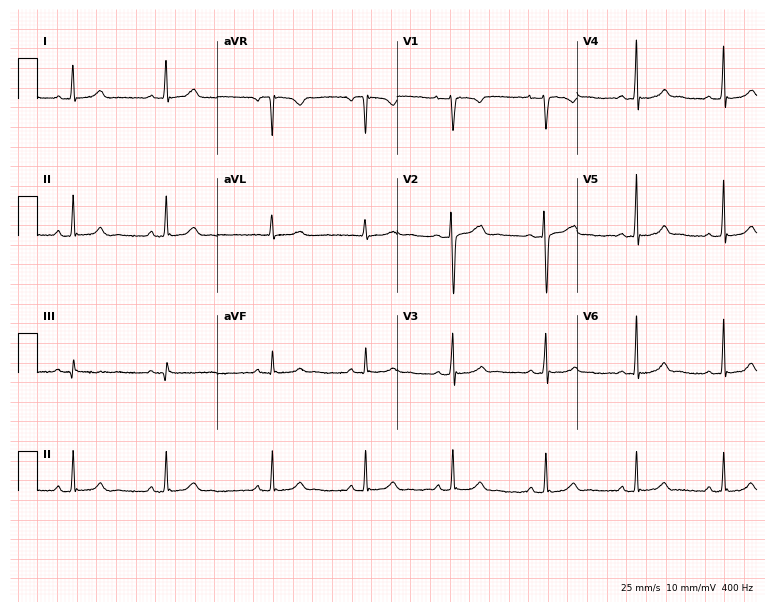
Electrocardiogram (7.3-second recording at 400 Hz), a woman, 19 years old. Overall reading on record: normal ECG.